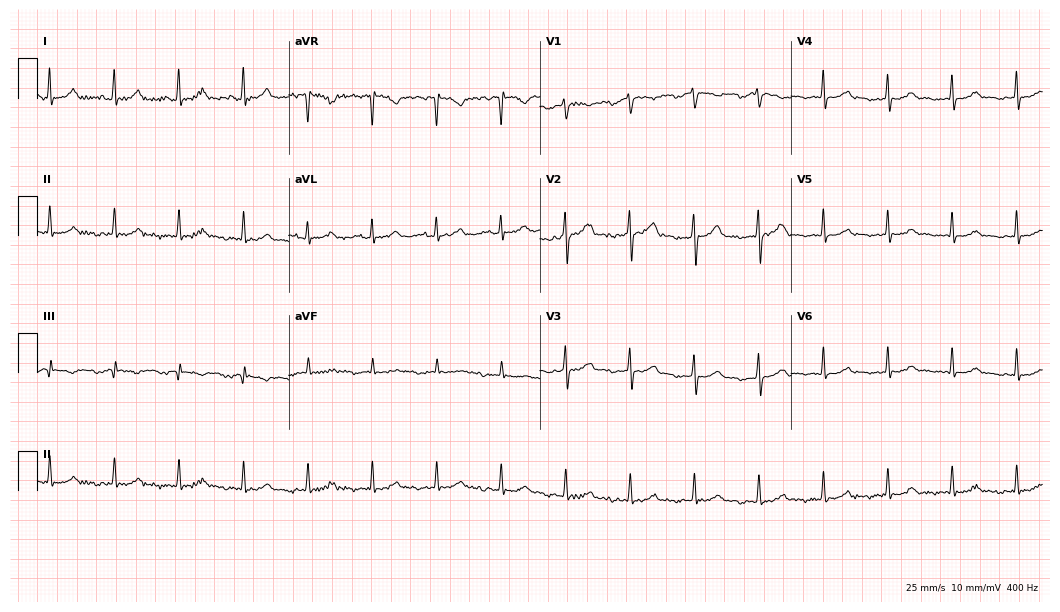
12-lead ECG from a 35-year-old female patient (10.2-second recording at 400 Hz). Recorded interpretation: within normal limits.